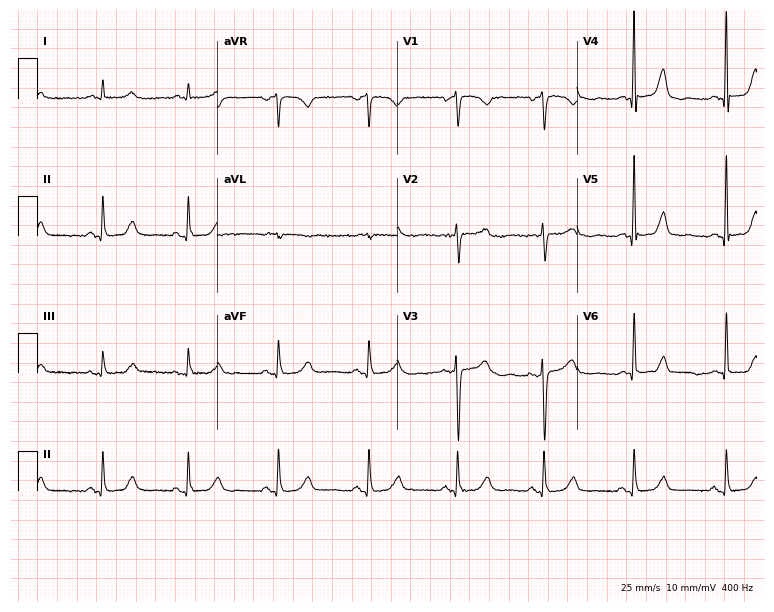
Standard 12-lead ECG recorded from a female, 76 years old (7.3-second recording at 400 Hz). None of these six findings is recorded: first-degree AV block, right bundle branch block, left bundle branch block, sinus bradycardia, atrial fibrillation, sinus tachycardia.